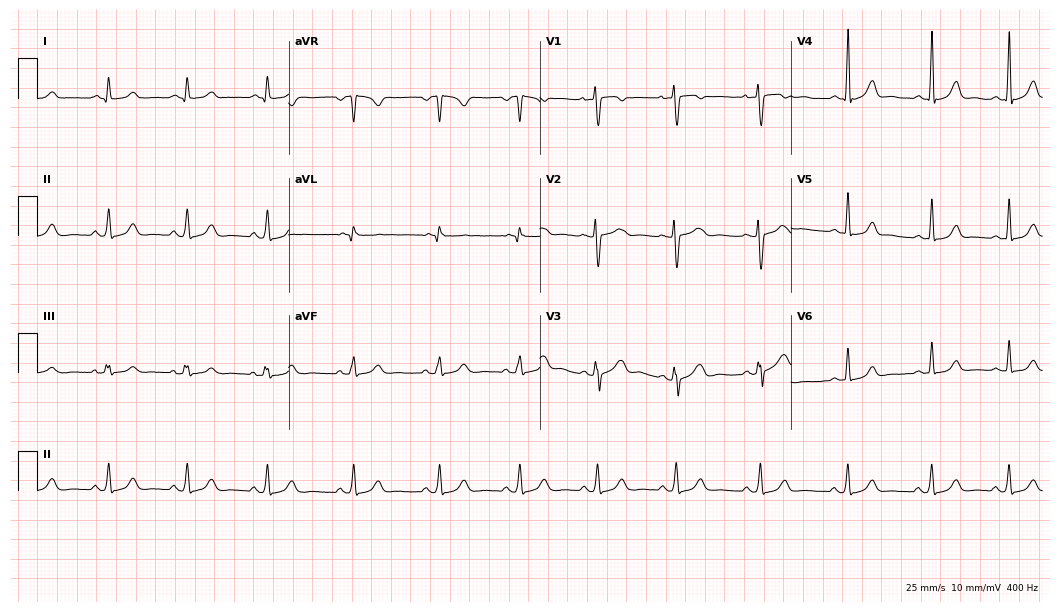
12-lead ECG from a 31-year-old female (10.2-second recording at 400 Hz). No first-degree AV block, right bundle branch block, left bundle branch block, sinus bradycardia, atrial fibrillation or sinus tachycardia recorded for this tracing.